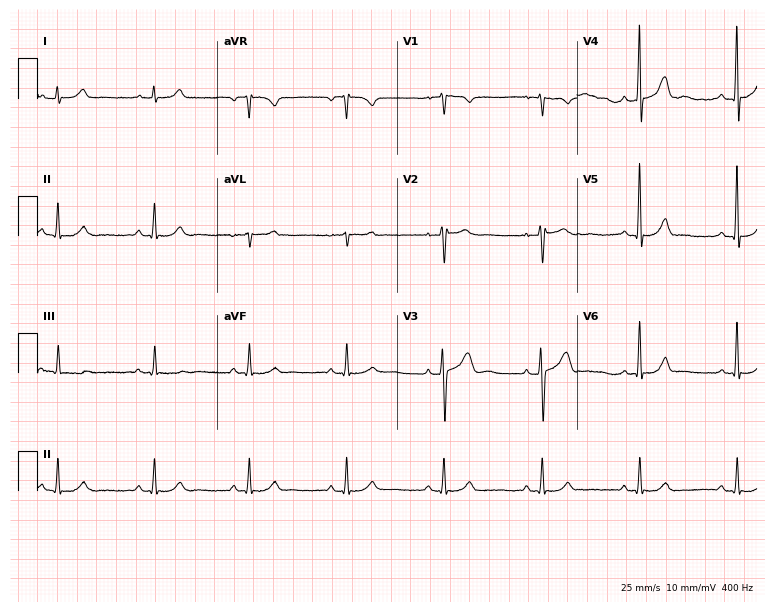
Electrocardiogram (7.3-second recording at 400 Hz), a 70-year-old male. Of the six screened findings (first-degree AV block, right bundle branch block, left bundle branch block, sinus bradycardia, atrial fibrillation, sinus tachycardia), none is recorded.